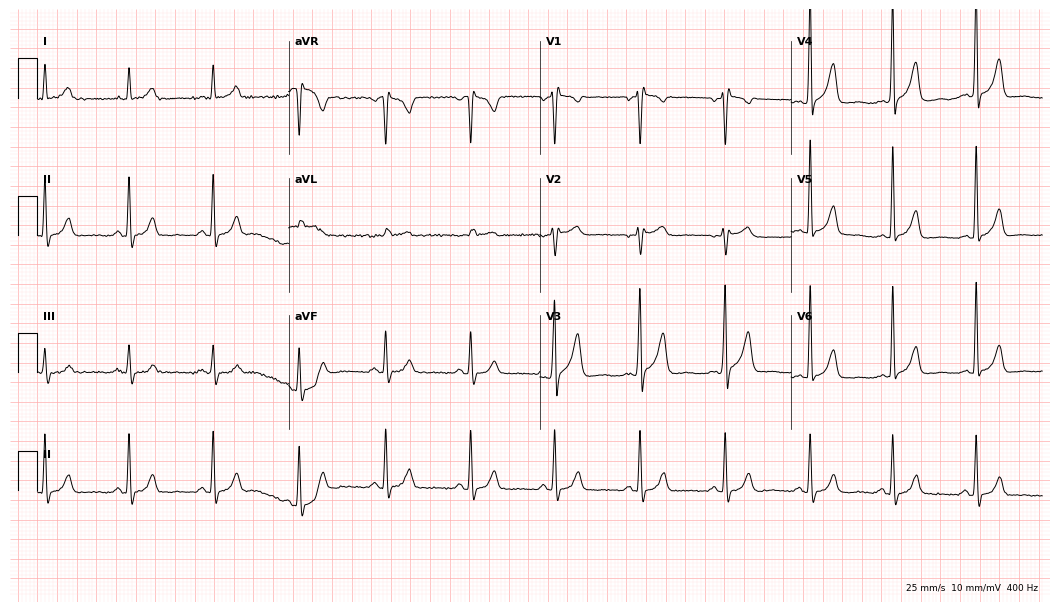
ECG — a 50-year-old male. Labelled as a normal ECG.